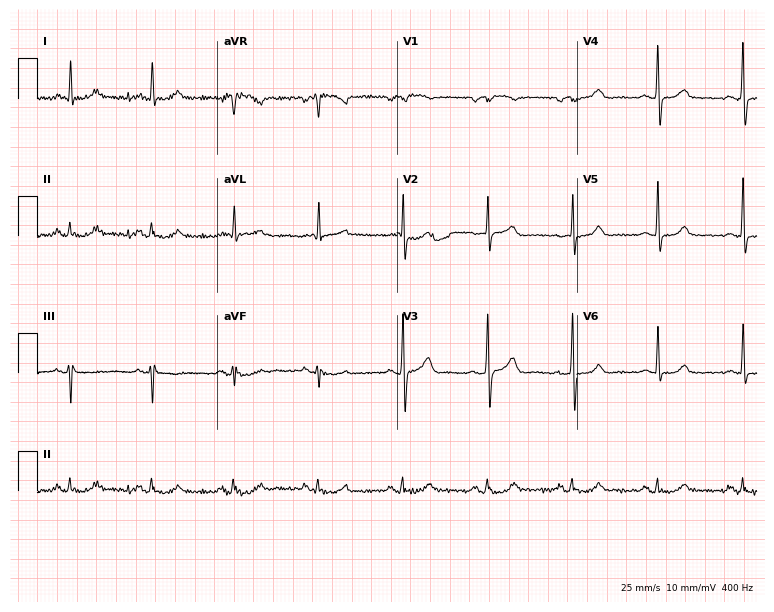
12-lead ECG from a male patient, 66 years old. Recorded interpretation: within normal limits.